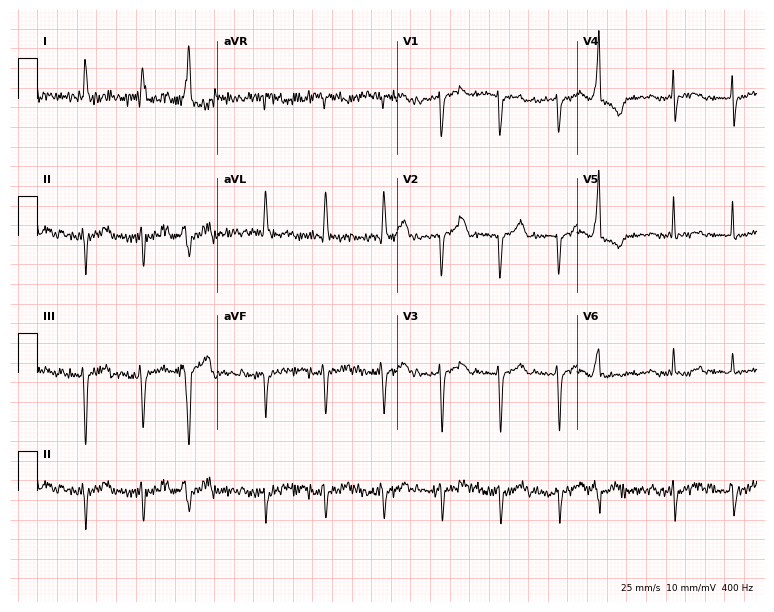
12-lead ECG from a woman, 84 years old. Screened for six findings — first-degree AV block, right bundle branch block, left bundle branch block, sinus bradycardia, atrial fibrillation, sinus tachycardia — none is recorded. Findings outside these six are not listed.